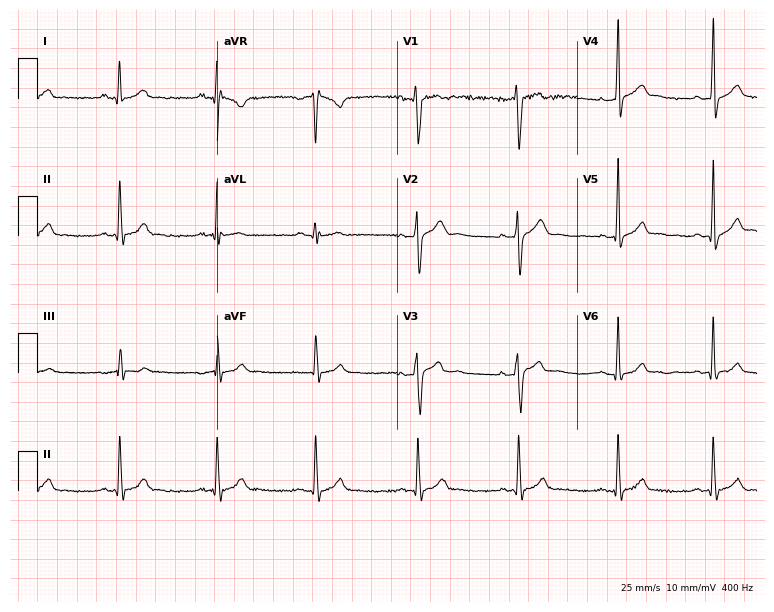
12-lead ECG from an 18-year-old male. No first-degree AV block, right bundle branch block, left bundle branch block, sinus bradycardia, atrial fibrillation or sinus tachycardia recorded for this tracing. Other findings, if any, are not listed.